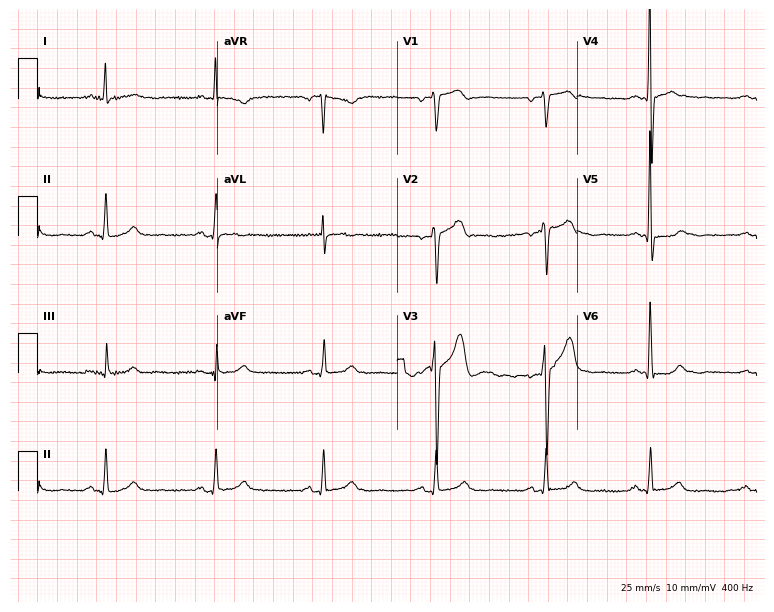
12-lead ECG (7.3-second recording at 400 Hz) from a male, 45 years old. Labelled as a normal ECG.